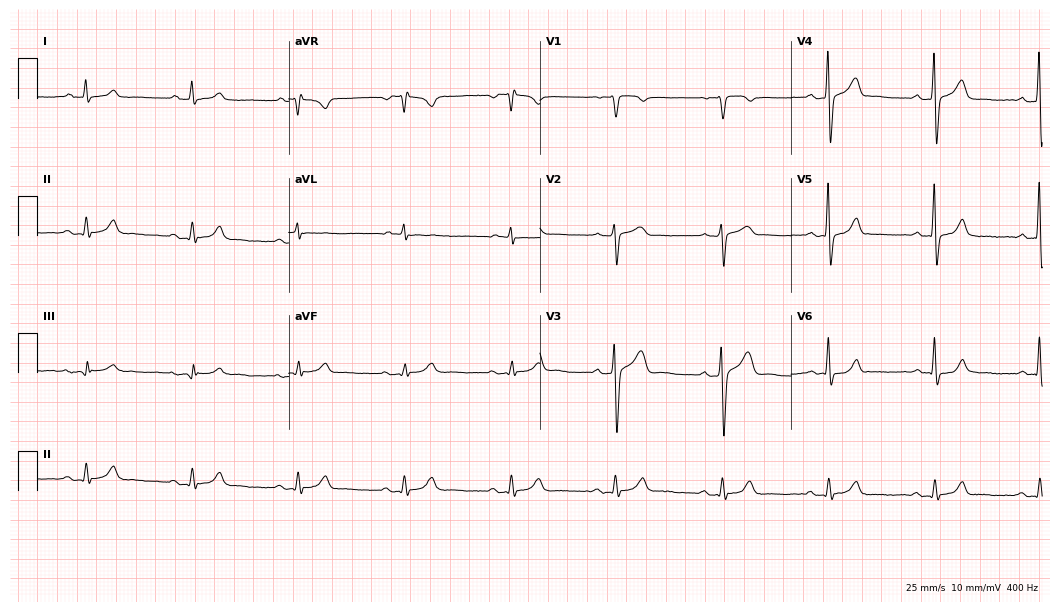
12-lead ECG from a 50-year-old male patient (10.2-second recording at 400 Hz). Recorded interpretation: within normal limits.